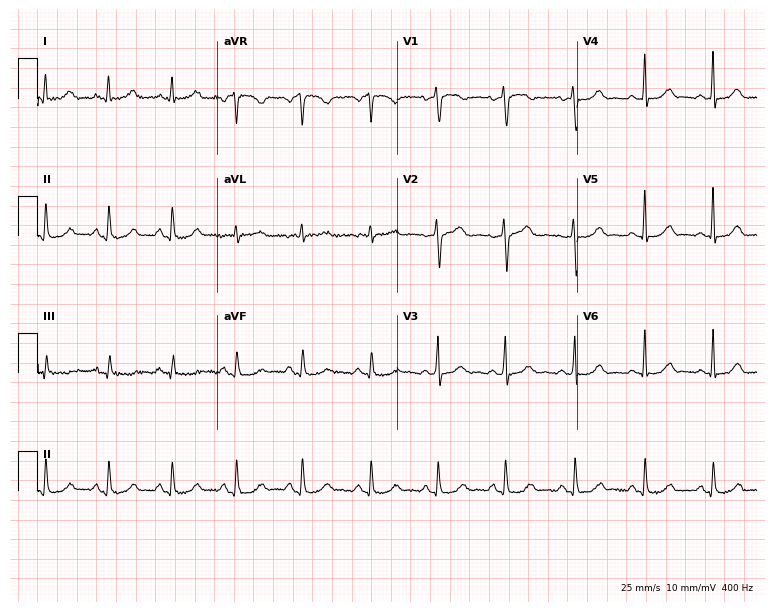
Electrocardiogram, a female patient, 28 years old. Of the six screened findings (first-degree AV block, right bundle branch block (RBBB), left bundle branch block (LBBB), sinus bradycardia, atrial fibrillation (AF), sinus tachycardia), none is recorded. Findings outside these six are not listed.